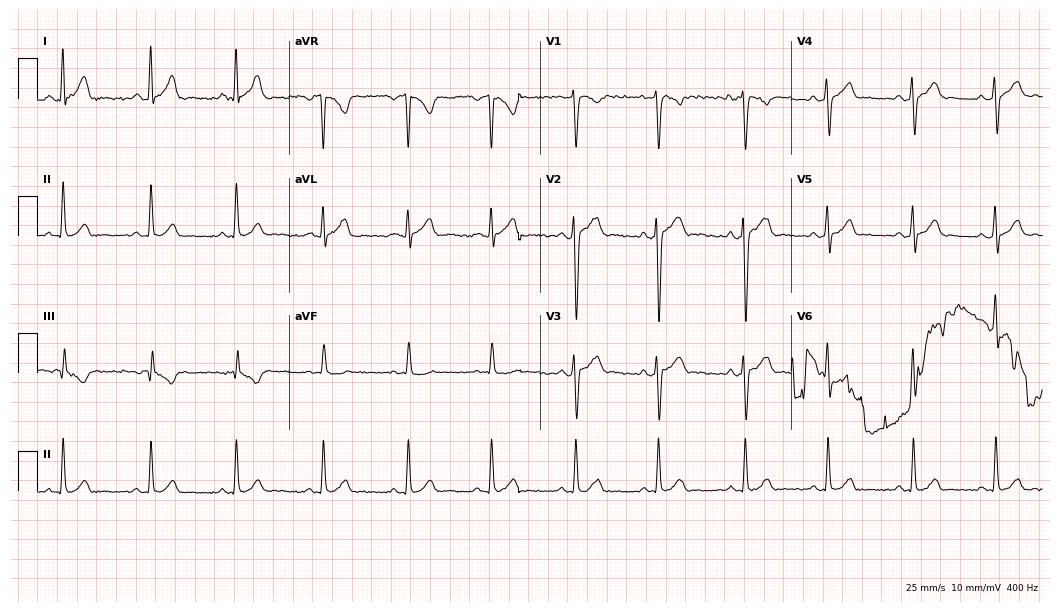
Standard 12-lead ECG recorded from a man, 20 years old (10.2-second recording at 400 Hz). None of these six findings is recorded: first-degree AV block, right bundle branch block, left bundle branch block, sinus bradycardia, atrial fibrillation, sinus tachycardia. Other findings, if any, are not listed.